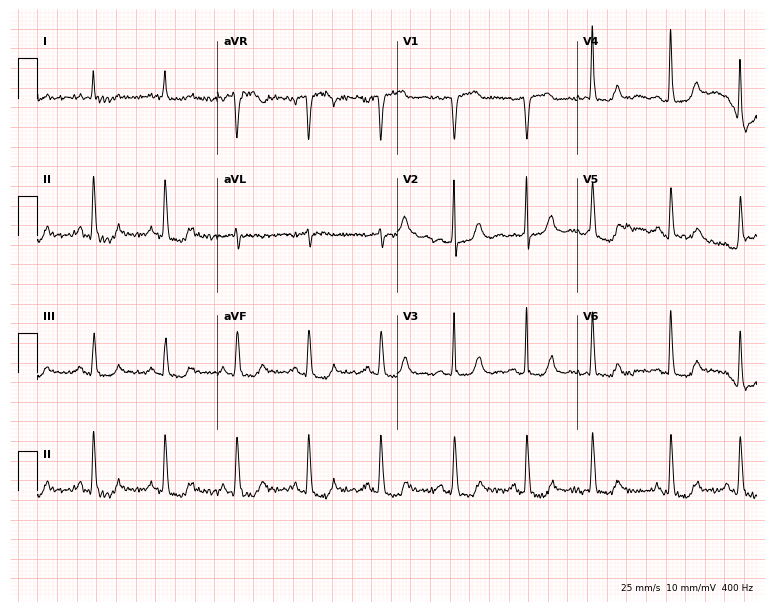
Resting 12-lead electrocardiogram (7.3-second recording at 400 Hz). Patient: an 83-year-old female. None of these six findings is recorded: first-degree AV block, right bundle branch block (RBBB), left bundle branch block (LBBB), sinus bradycardia, atrial fibrillation (AF), sinus tachycardia.